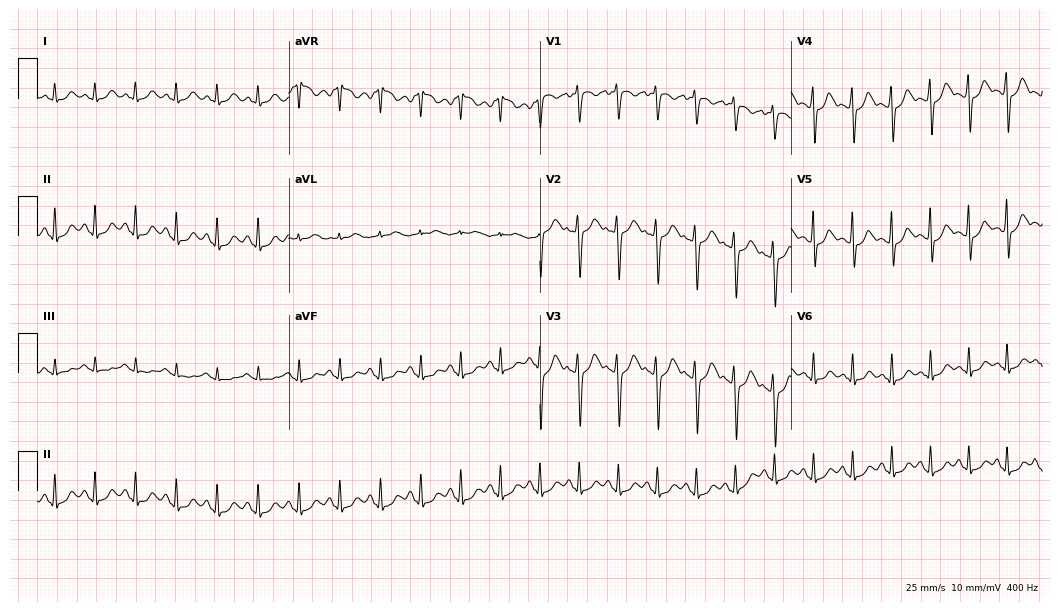
Standard 12-lead ECG recorded from a 27-year-old female patient. The tracing shows sinus tachycardia (a sinus rate of 100 beats per minute or more).